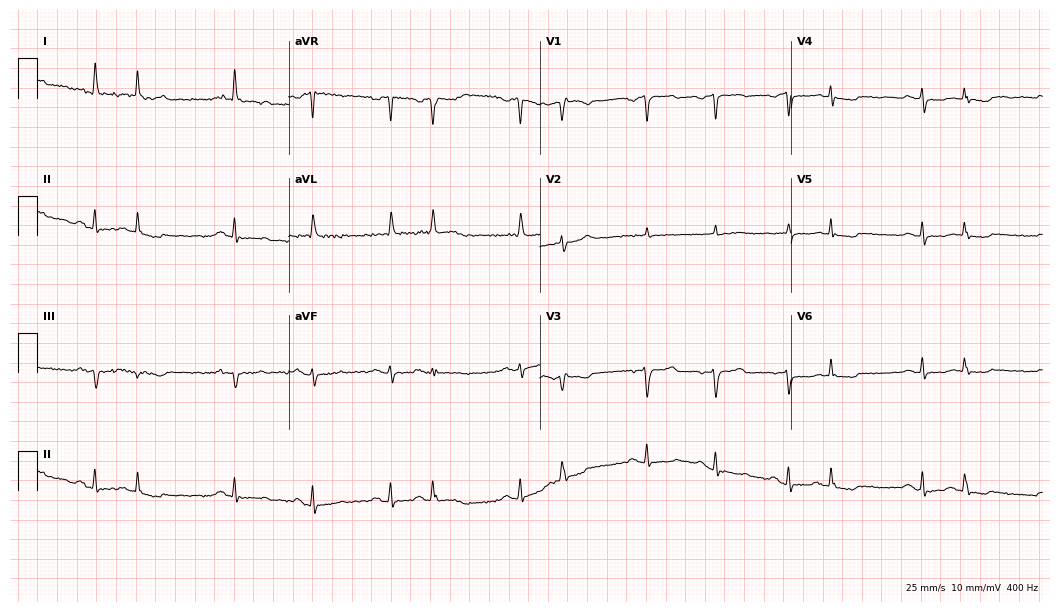
12-lead ECG from a 71-year-old female. Screened for six findings — first-degree AV block, right bundle branch block, left bundle branch block, sinus bradycardia, atrial fibrillation, sinus tachycardia — none is recorded.